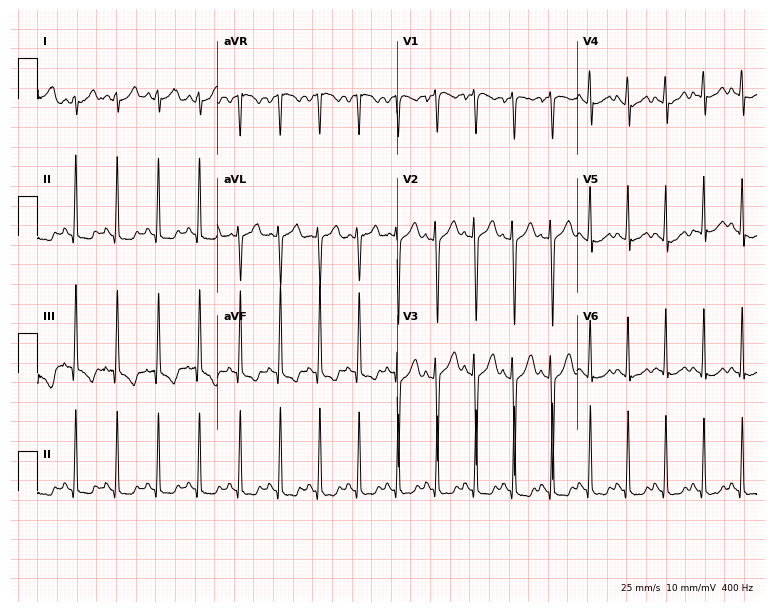
Resting 12-lead electrocardiogram (7.3-second recording at 400 Hz). Patient: an 18-year-old female. The tracing shows sinus tachycardia (a sinus rate of 100 beats per minute or more).